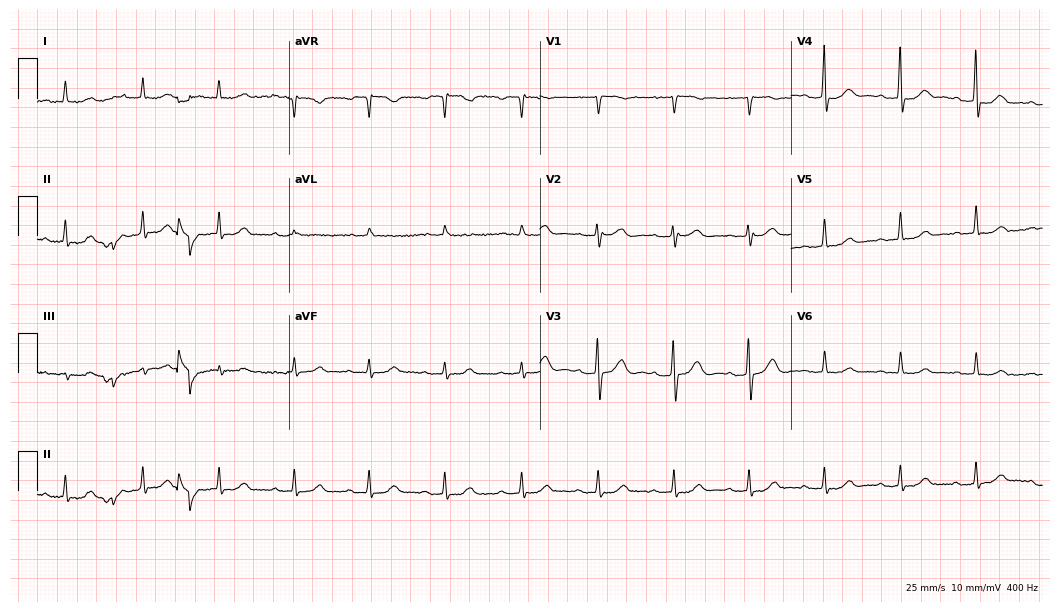
12-lead ECG from a 72-year-old female. No first-degree AV block, right bundle branch block, left bundle branch block, sinus bradycardia, atrial fibrillation or sinus tachycardia recorded for this tracing. Other findings, if any, are not listed.